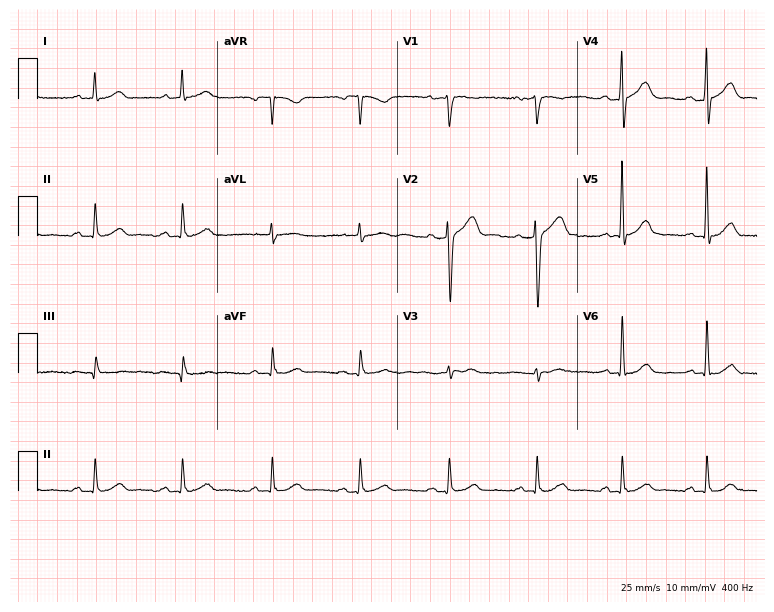
Standard 12-lead ECG recorded from a man, 72 years old. Read as a normal ECG.